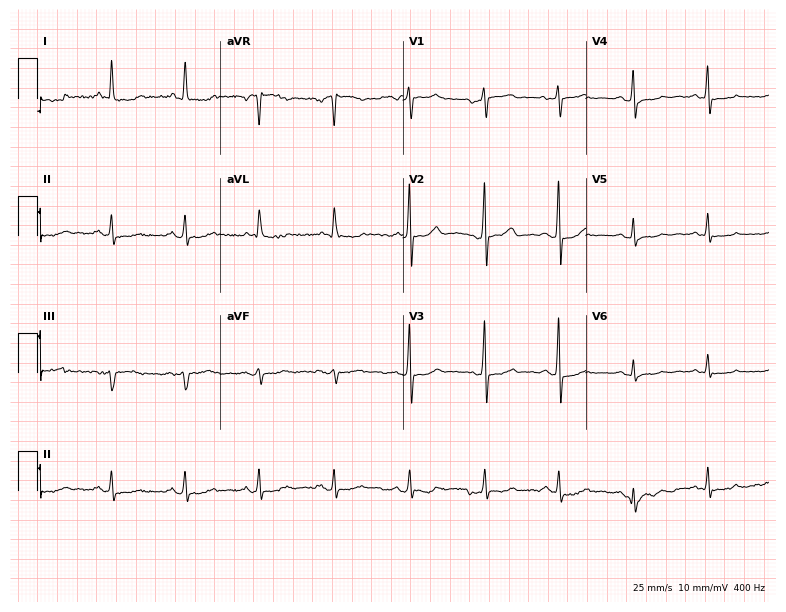
ECG — a male patient, 84 years old. Screened for six findings — first-degree AV block, right bundle branch block, left bundle branch block, sinus bradycardia, atrial fibrillation, sinus tachycardia — none is recorded. Findings outside these six are not listed.